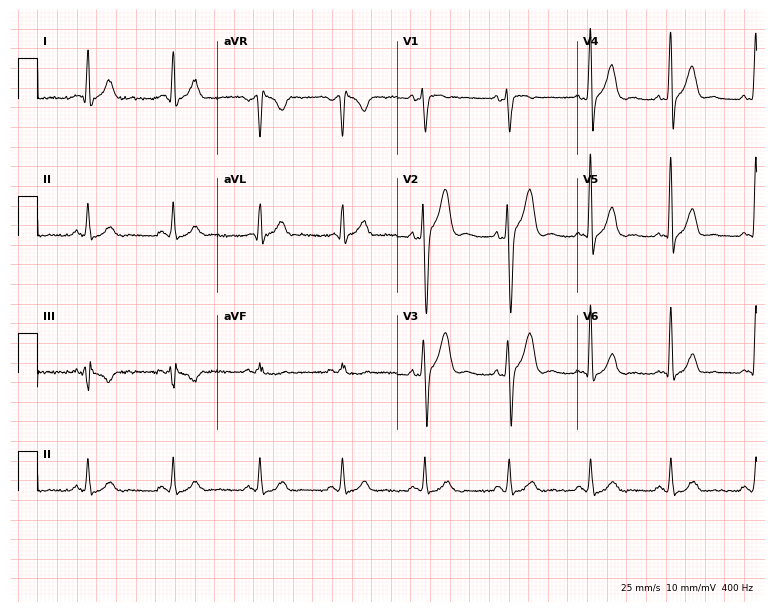
Resting 12-lead electrocardiogram (7.3-second recording at 400 Hz). Patient: a male, 50 years old. None of these six findings is recorded: first-degree AV block, right bundle branch block, left bundle branch block, sinus bradycardia, atrial fibrillation, sinus tachycardia.